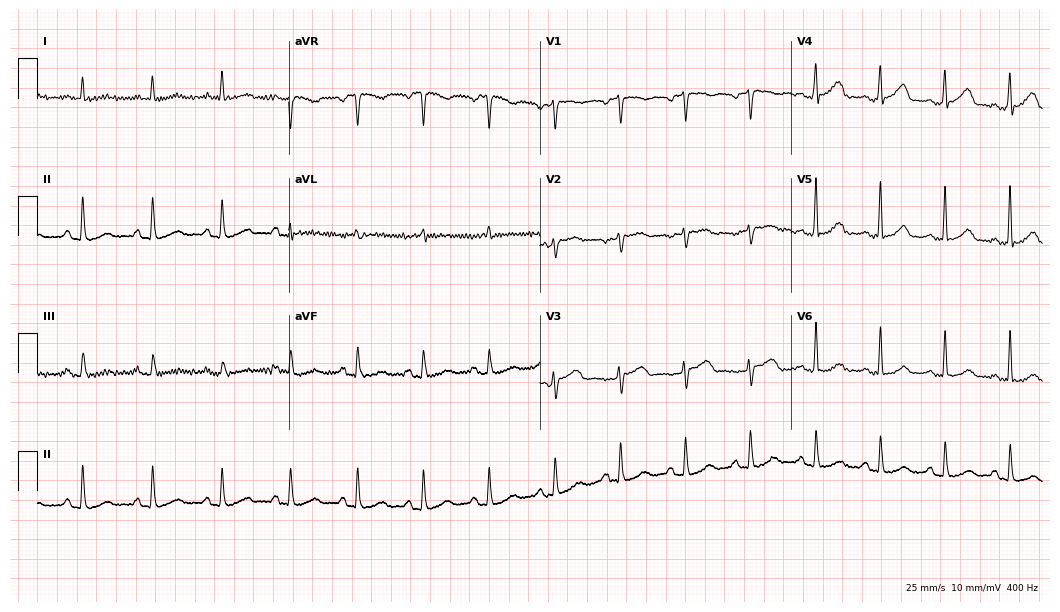
Electrocardiogram (10.2-second recording at 400 Hz), a 77-year-old woman. Overall reading on record: normal ECG.